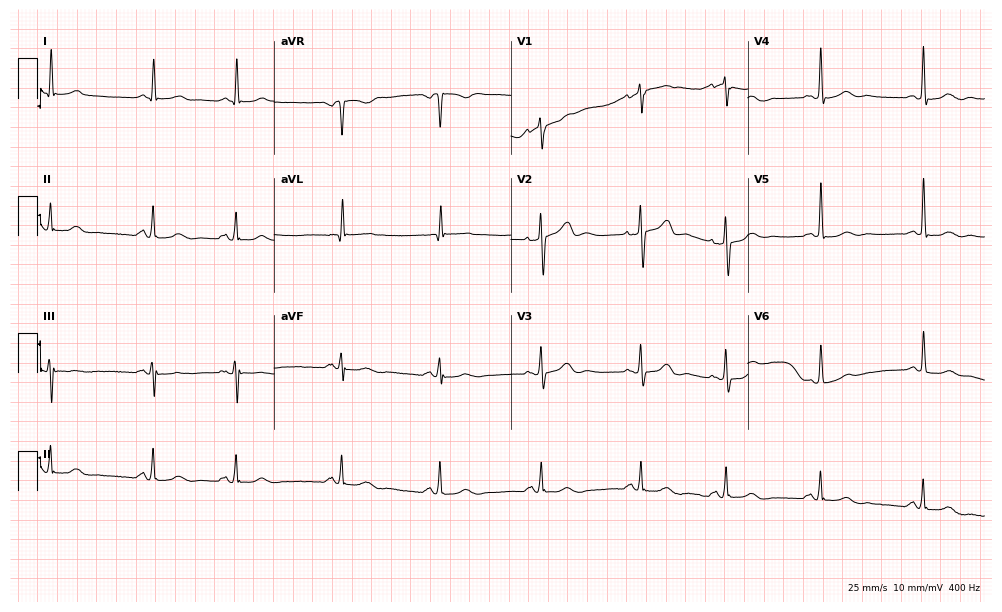
12-lead ECG from a female, 76 years old (9.7-second recording at 400 Hz). No first-degree AV block, right bundle branch block, left bundle branch block, sinus bradycardia, atrial fibrillation or sinus tachycardia recorded for this tracing.